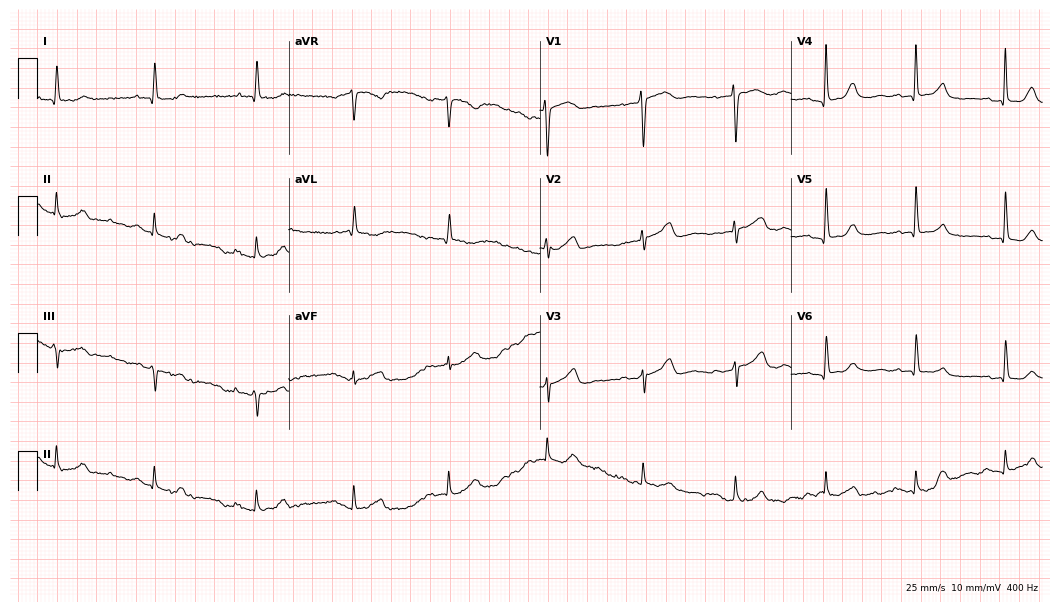
12-lead ECG from an 83-year-old woman. Screened for six findings — first-degree AV block, right bundle branch block, left bundle branch block, sinus bradycardia, atrial fibrillation, sinus tachycardia — none is recorded.